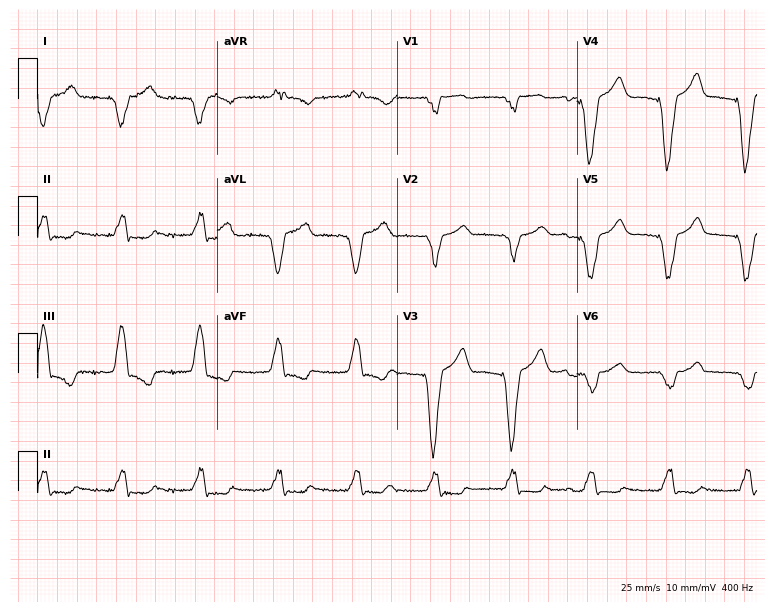
Electrocardiogram, a male, 64 years old. Of the six screened findings (first-degree AV block, right bundle branch block, left bundle branch block, sinus bradycardia, atrial fibrillation, sinus tachycardia), none is recorded. Other findings, if any, are not listed.